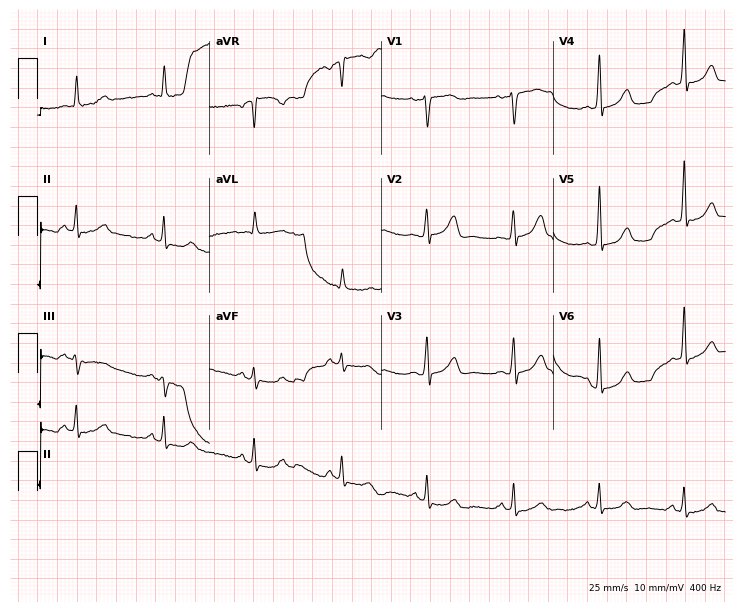
Electrocardiogram (7-second recording at 400 Hz), a 66-year-old female patient. Overall reading on record: normal ECG.